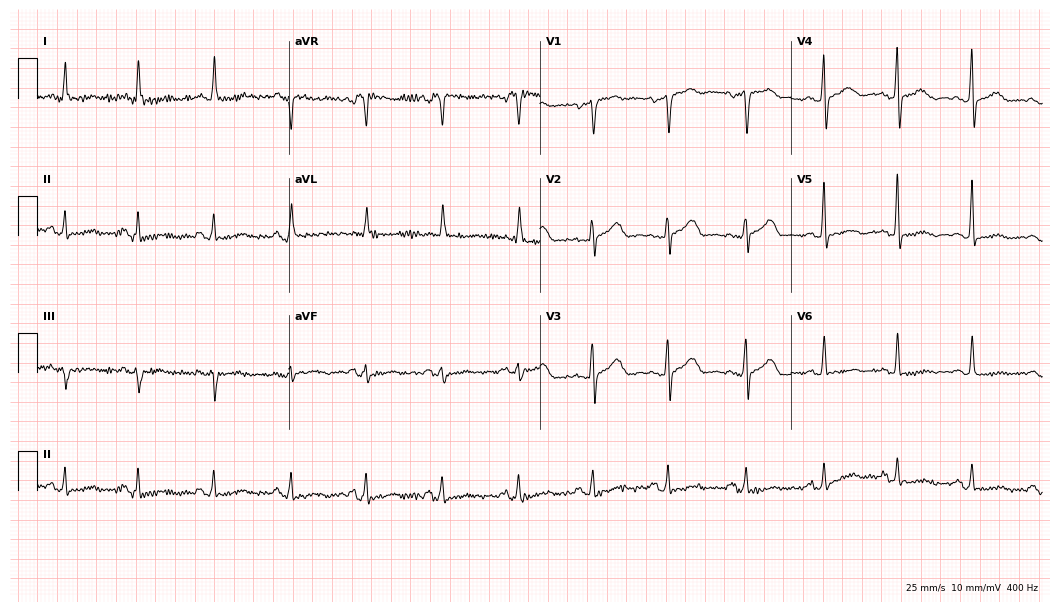
Standard 12-lead ECG recorded from a female, 65 years old (10.2-second recording at 400 Hz). None of these six findings is recorded: first-degree AV block, right bundle branch block, left bundle branch block, sinus bradycardia, atrial fibrillation, sinus tachycardia. Only these six findings were labelled.